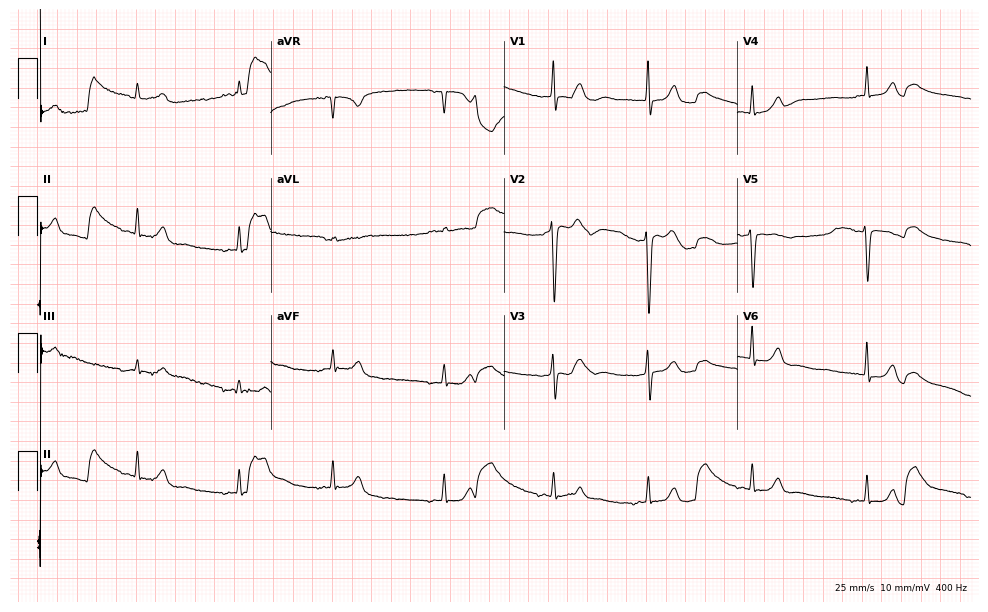
ECG (9.5-second recording at 400 Hz) — a female patient, 34 years old. Labelled as a normal ECG.